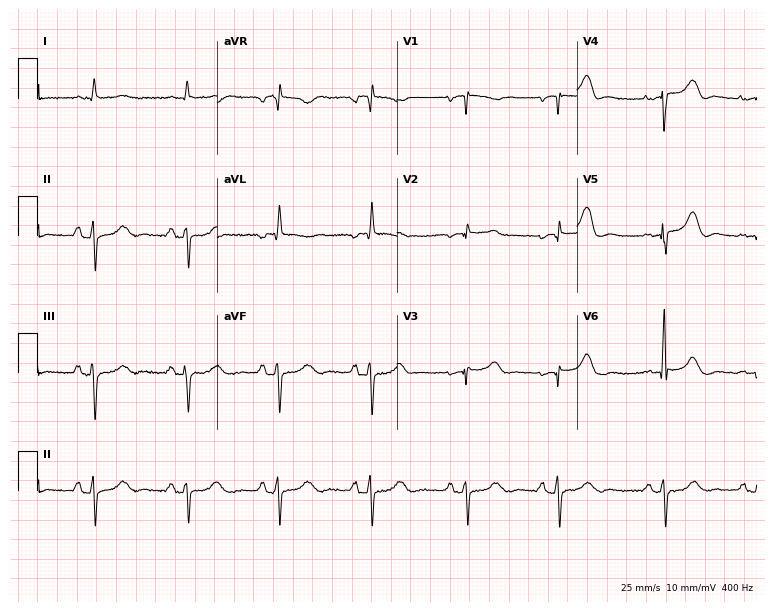
12-lead ECG from an 83-year-old woman (7.3-second recording at 400 Hz). No first-degree AV block, right bundle branch block, left bundle branch block, sinus bradycardia, atrial fibrillation or sinus tachycardia recorded for this tracing. Findings outside these six are not listed.